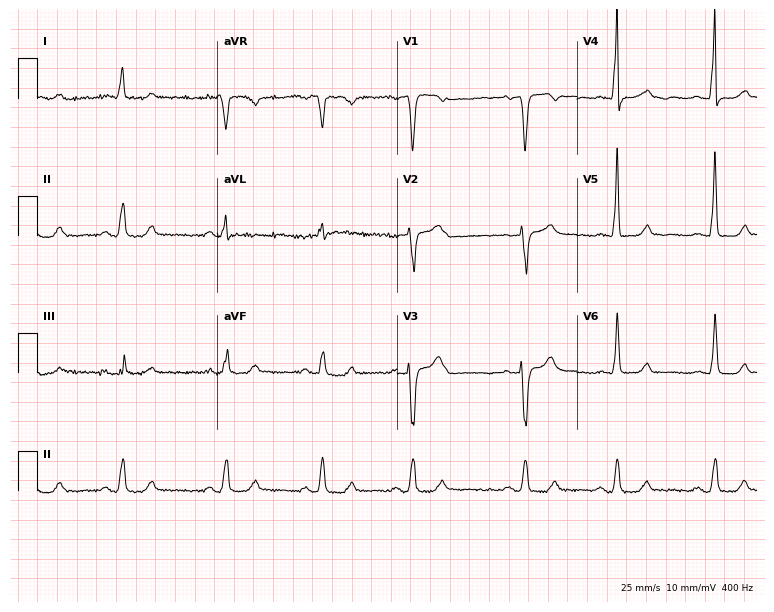
Standard 12-lead ECG recorded from a woman, 51 years old (7.3-second recording at 400 Hz). None of these six findings is recorded: first-degree AV block, right bundle branch block, left bundle branch block, sinus bradycardia, atrial fibrillation, sinus tachycardia. Other findings, if any, are not listed.